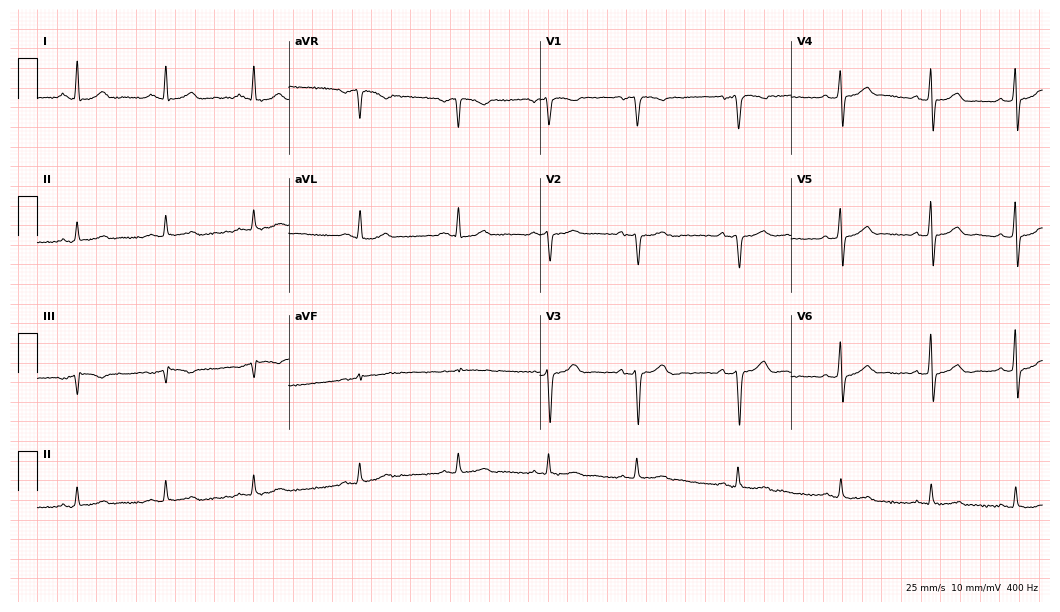
Standard 12-lead ECG recorded from a man, 44 years old (10.2-second recording at 400 Hz). Read as a normal ECG.